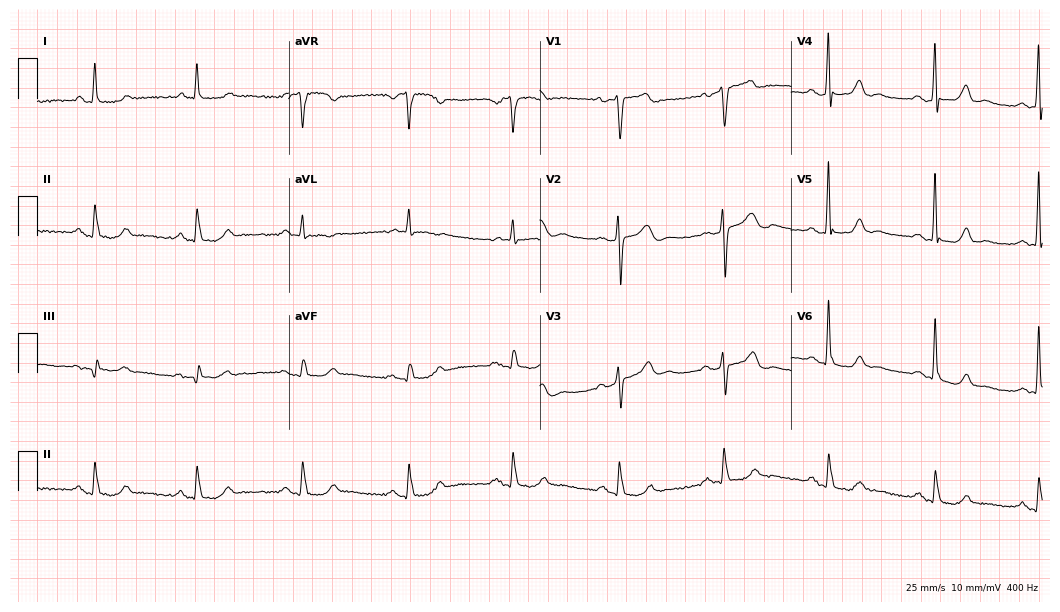
12-lead ECG from a male patient, 72 years old. Labelled as a normal ECG.